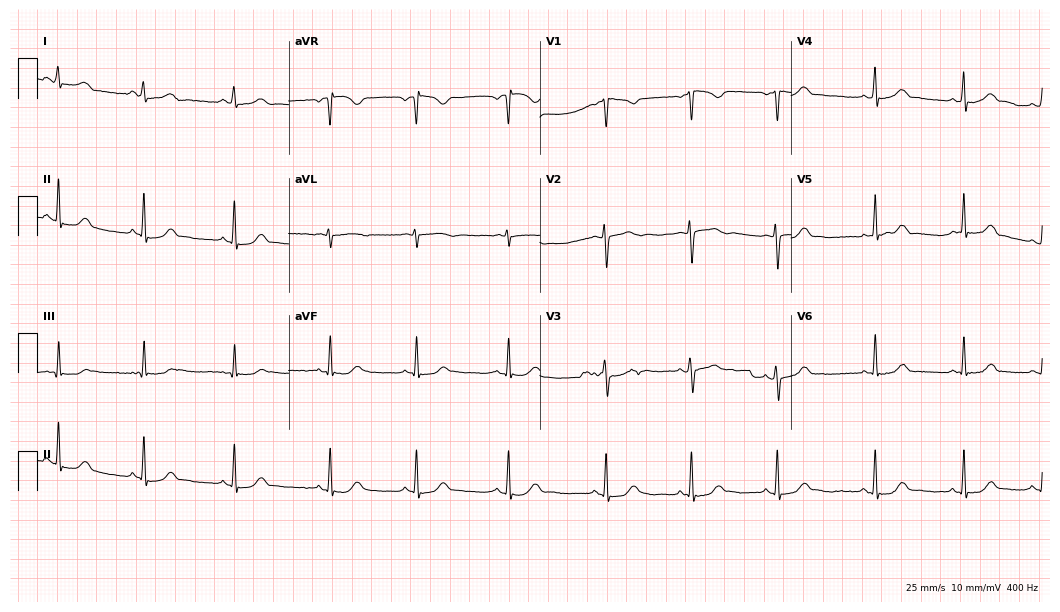
12-lead ECG from a 23-year-old woman (10.2-second recording at 400 Hz). Recorded interpretation: within normal limits.